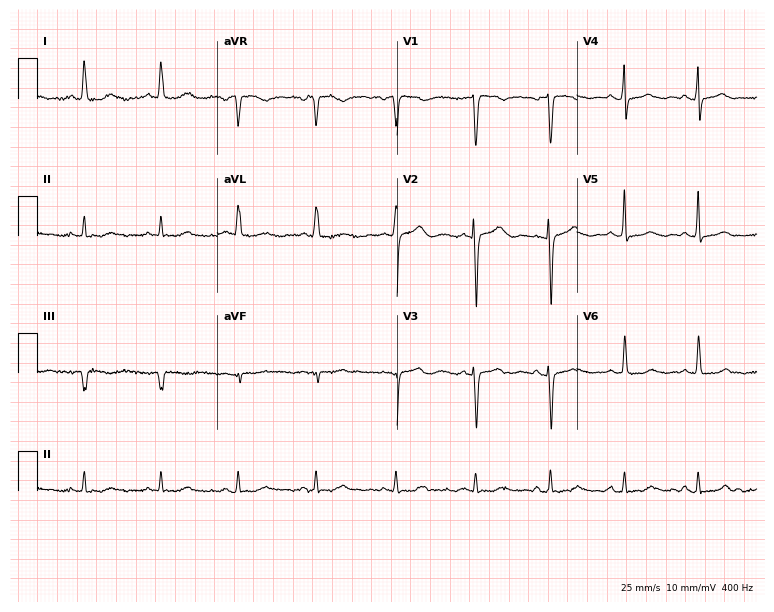
Electrocardiogram, an 86-year-old woman. Overall reading on record: normal ECG.